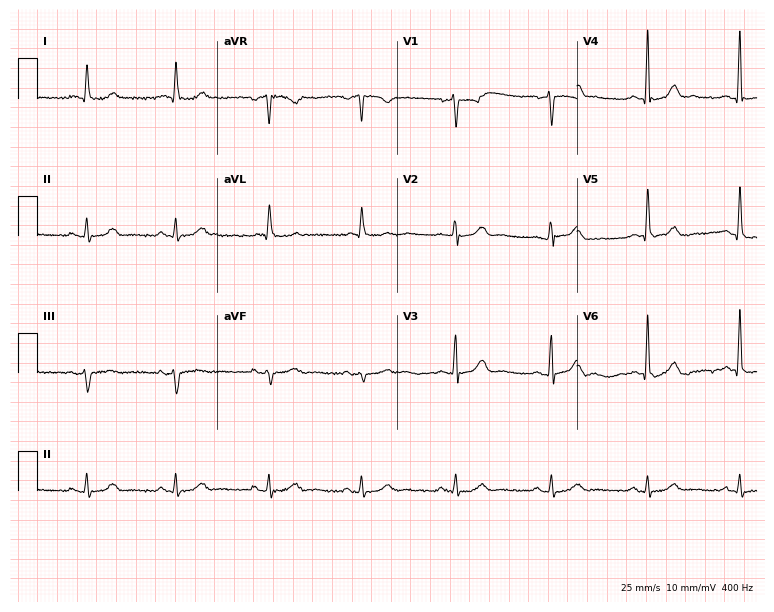
Standard 12-lead ECG recorded from a 70-year-old male patient. None of these six findings is recorded: first-degree AV block, right bundle branch block, left bundle branch block, sinus bradycardia, atrial fibrillation, sinus tachycardia.